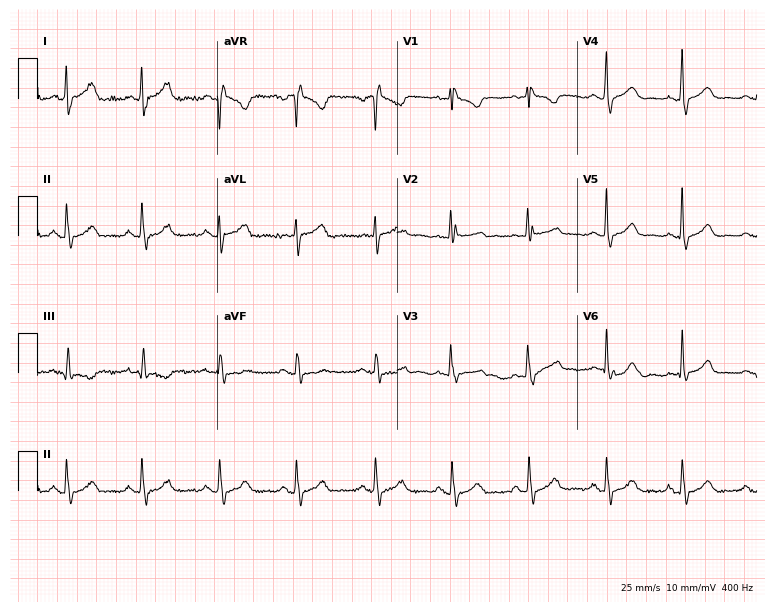
12-lead ECG from a 37-year-old female patient (7.3-second recording at 400 Hz). No first-degree AV block, right bundle branch block (RBBB), left bundle branch block (LBBB), sinus bradycardia, atrial fibrillation (AF) or sinus tachycardia recorded for this tracing.